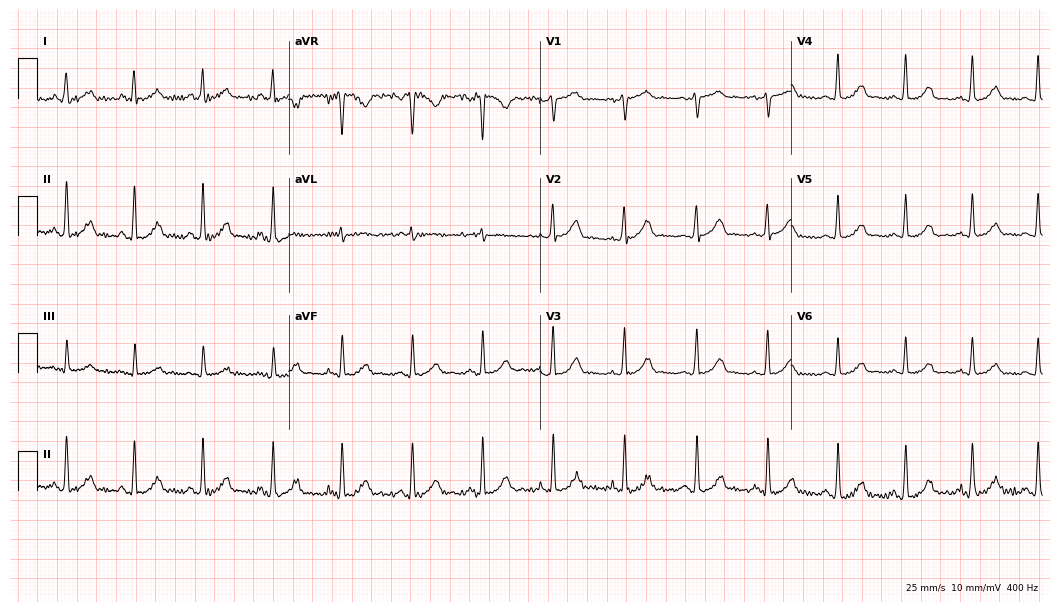
Resting 12-lead electrocardiogram (10.2-second recording at 400 Hz). Patient: a 50-year-old female. Read as a normal ECG.